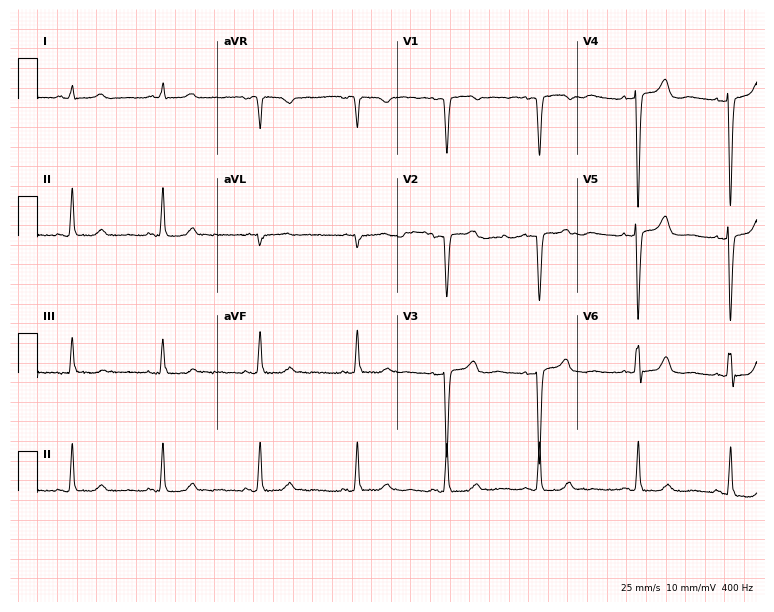
12-lead ECG from a 33-year-old female patient (7.3-second recording at 400 Hz). No first-degree AV block, right bundle branch block (RBBB), left bundle branch block (LBBB), sinus bradycardia, atrial fibrillation (AF) or sinus tachycardia recorded for this tracing. Findings outside these six are not listed.